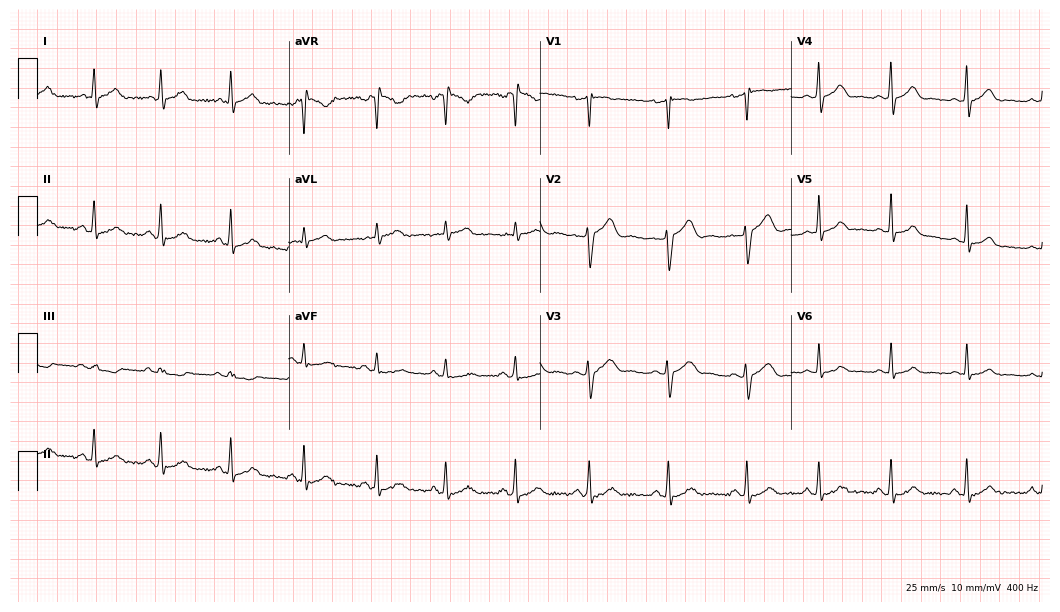
Electrocardiogram, a 23-year-old female patient. Of the six screened findings (first-degree AV block, right bundle branch block, left bundle branch block, sinus bradycardia, atrial fibrillation, sinus tachycardia), none is recorded.